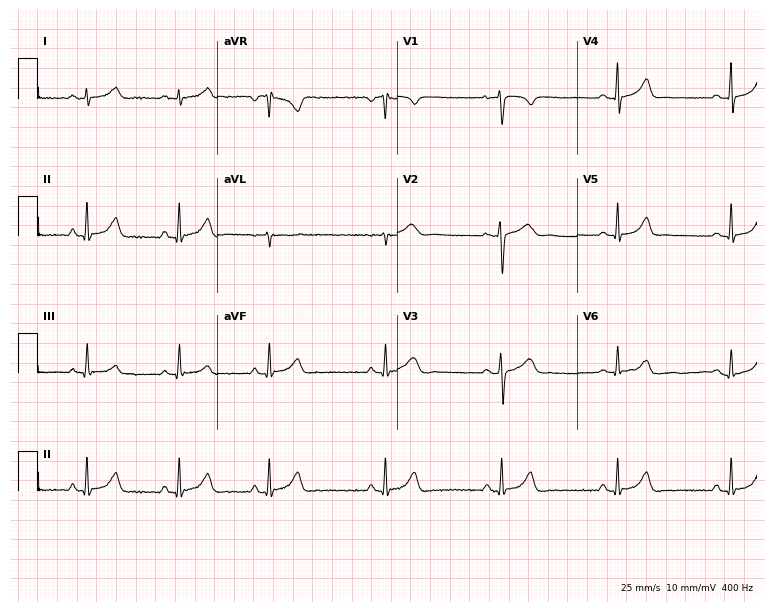
12-lead ECG from a 22-year-old female. Labelled as a normal ECG.